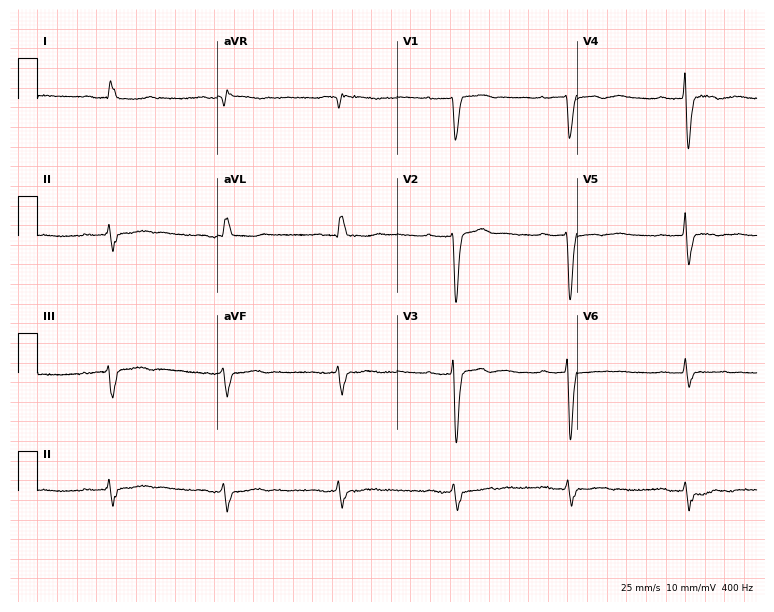
12-lead ECG (7.3-second recording at 400 Hz) from a male patient, 79 years old. Findings include first-degree AV block, left bundle branch block.